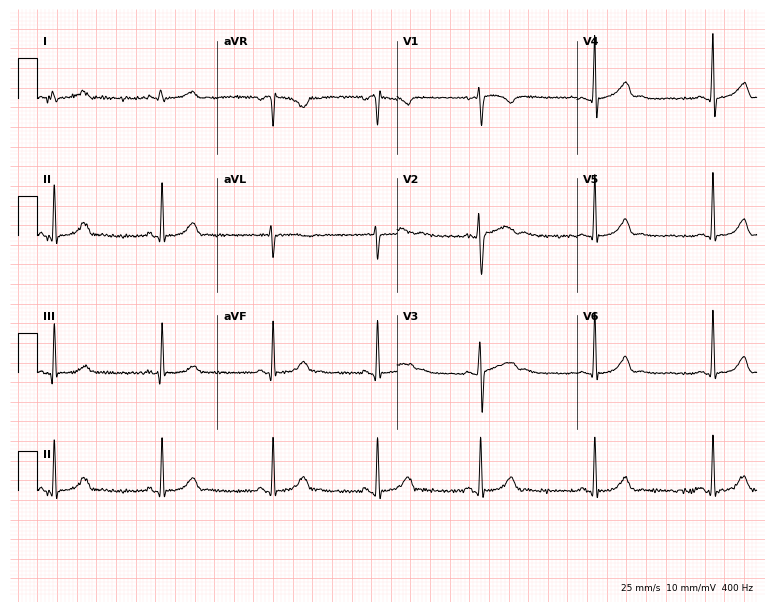
12-lead ECG from a 23-year-old female. Labelled as a normal ECG.